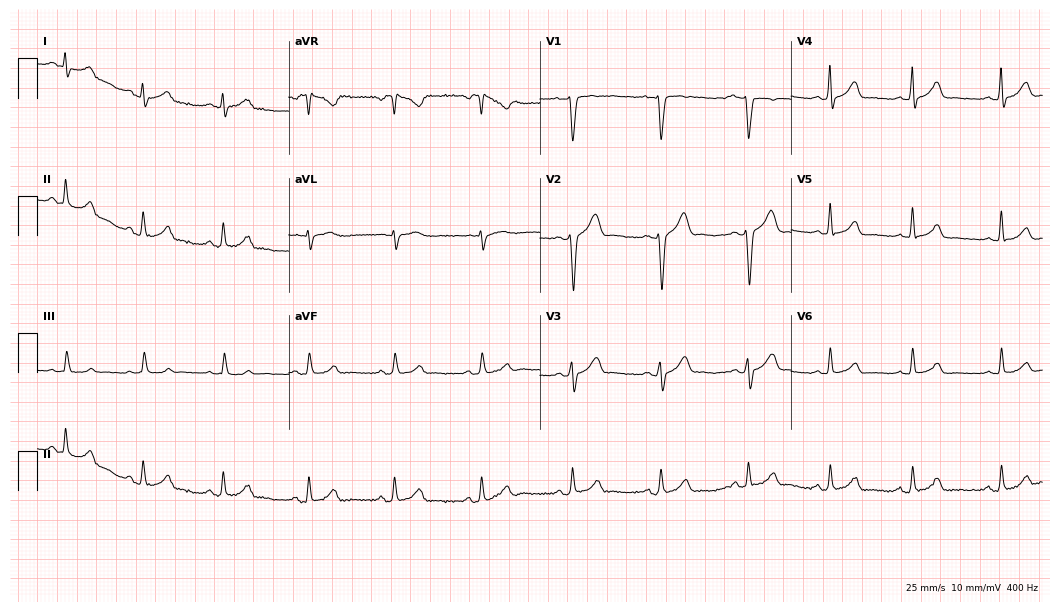
12-lead ECG from a male, 27 years old (10.2-second recording at 400 Hz). No first-degree AV block, right bundle branch block (RBBB), left bundle branch block (LBBB), sinus bradycardia, atrial fibrillation (AF) or sinus tachycardia recorded for this tracing. Only these six findings were labelled.